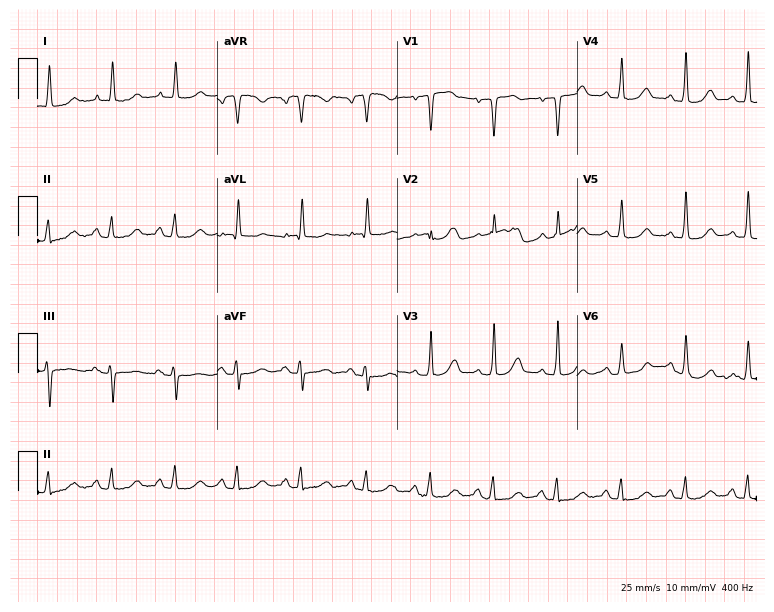
ECG — a 66-year-old female. Screened for six findings — first-degree AV block, right bundle branch block (RBBB), left bundle branch block (LBBB), sinus bradycardia, atrial fibrillation (AF), sinus tachycardia — none is recorded.